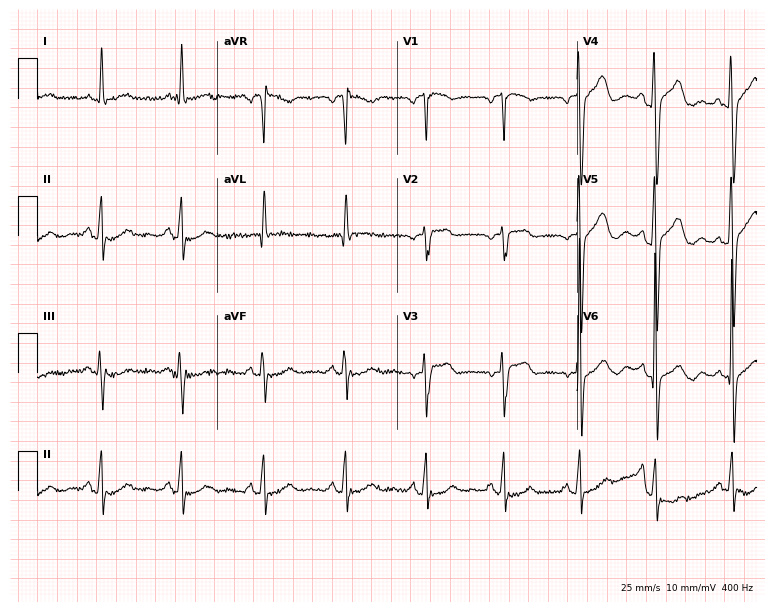
Standard 12-lead ECG recorded from a 56-year-old male patient. None of these six findings is recorded: first-degree AV block, right bundle branch block, left bundle branch block, sinus bradycardia, atrial fibrillation, sinus tachycardia. Only these six findings were labelled.